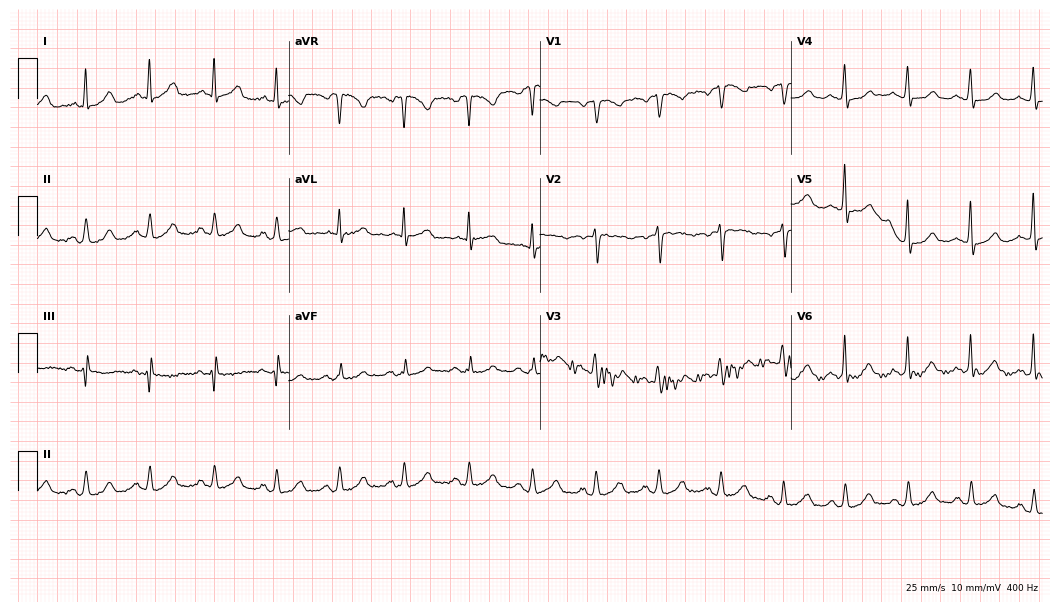
12-lead ECG from a 56-year-old female. No first-degree AV block, right bundle branch block, left bundle branch block, sinus bradycardia, atrial fibrillation or sinus tachycardia recorded for this tracing. Findings outside these six are not listed.